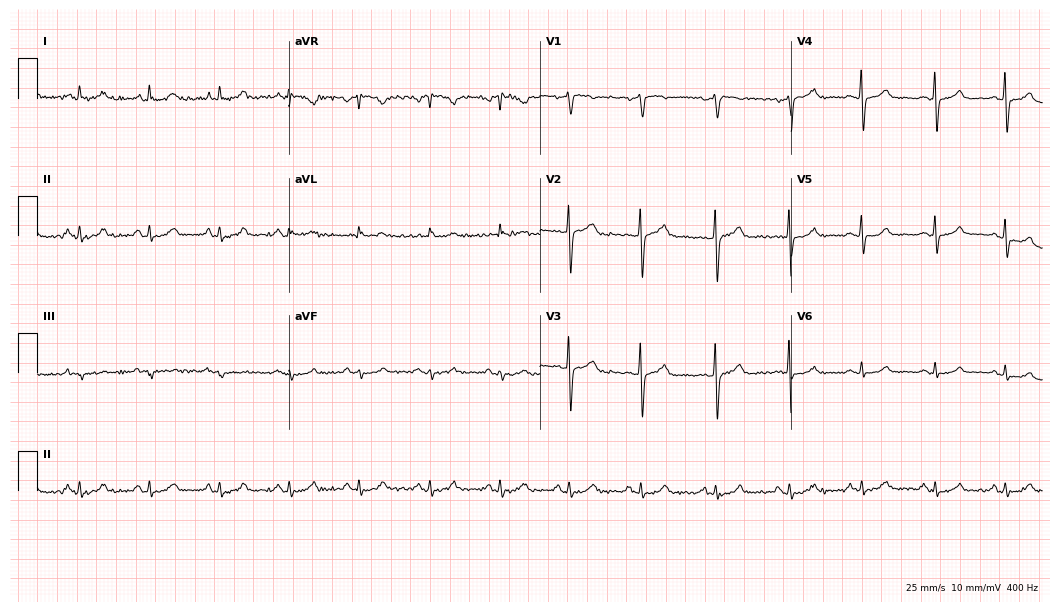
Resting 12-lead electrocardiogram. Patient: a woman, 46 years old. Read as a normal ECG.